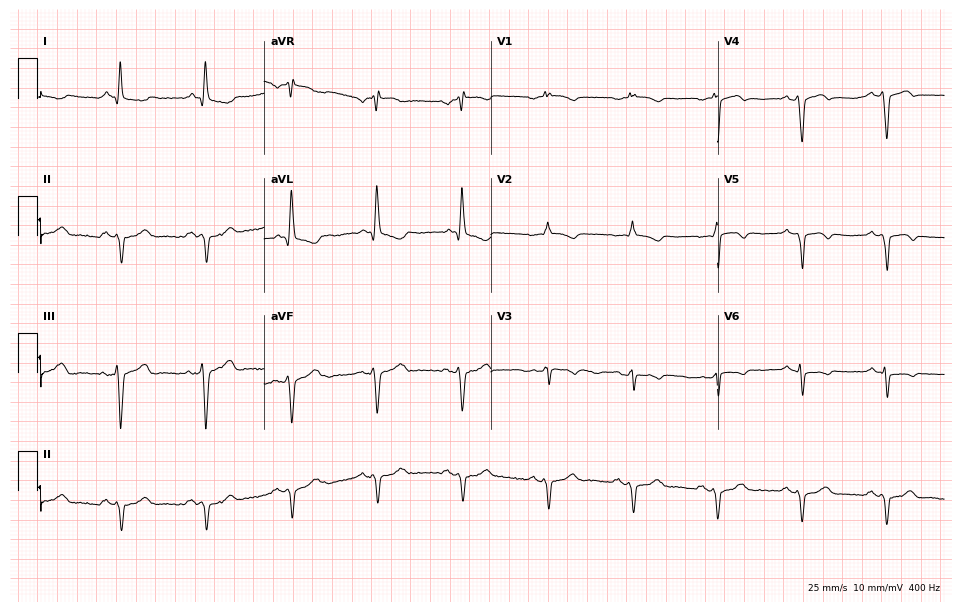
Electrocardiogram (9.2-second recording at 400 Hz), a 74-year-old man. Of the six screened findings (first-degree AV block, right bundle branch block, left bundle branch block, sinus bradycardia, atrial fibrillation, sinus tachycardia), none is recorded.